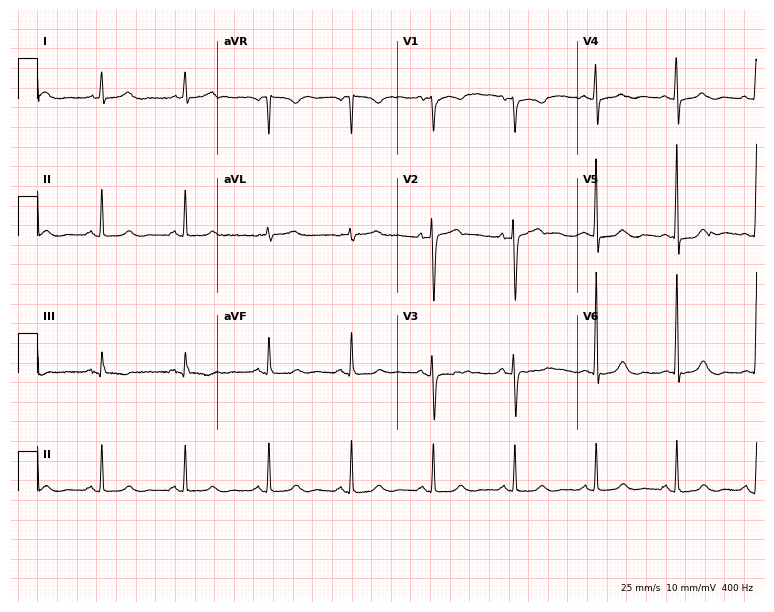
12-lead ECG from a female, 67 years old. Screened for six findings — first-degree AV block, right bundle branch block, left bundle branch block, sinus bradycardia, atrial fibrillation, sinus tachycardia — none is recorded. Only these six findings were labelled.